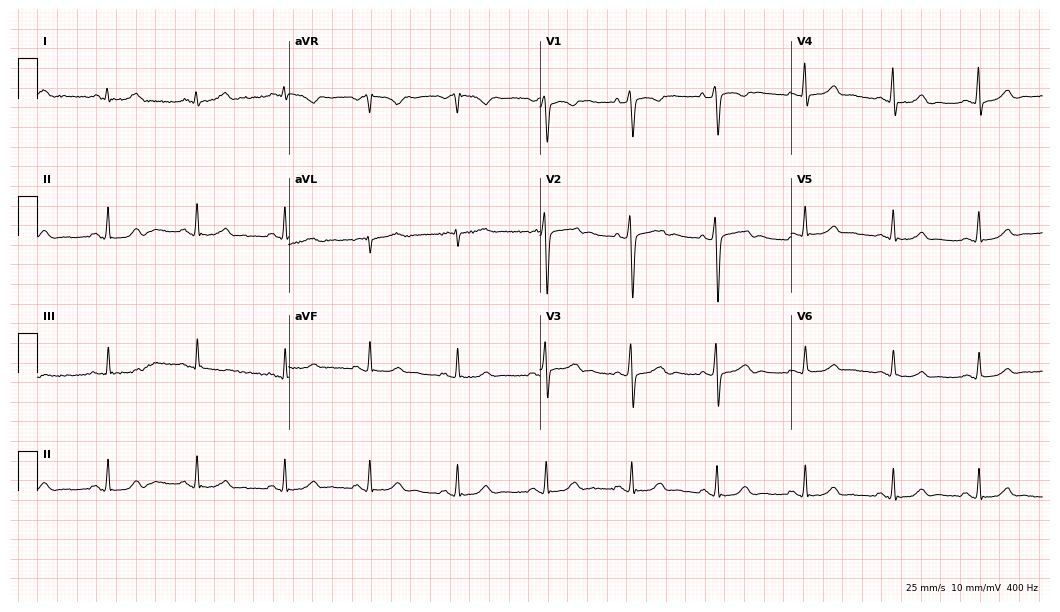
12-lead ECG from a woman, 43 years old. Labelled as a normal ECG.